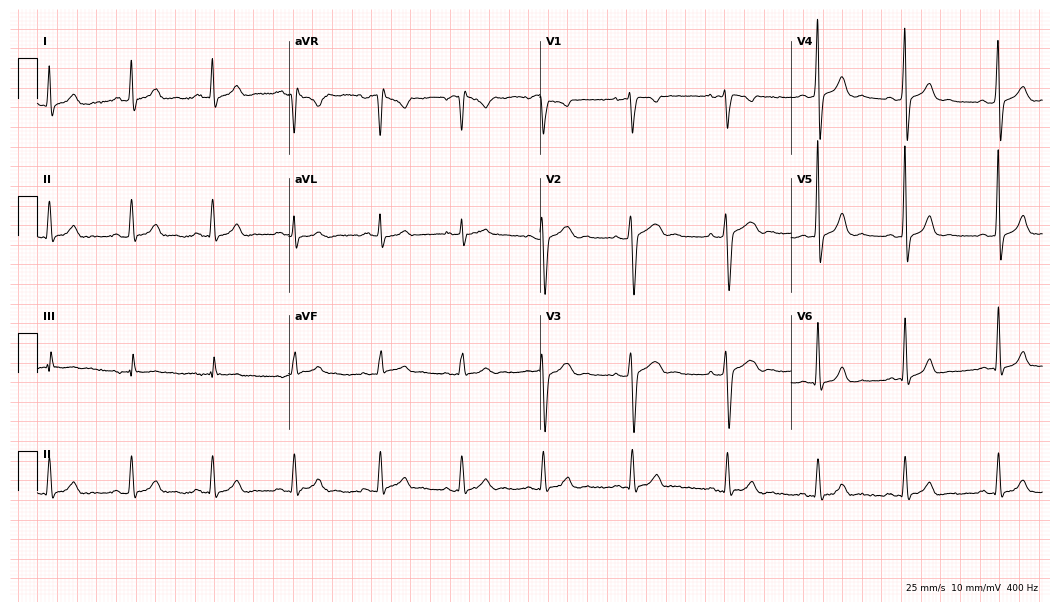
Electrocardiogram (10.2-second recording at 400 Hz), a man, 27 years old. Overall reading on record: normal ECG.